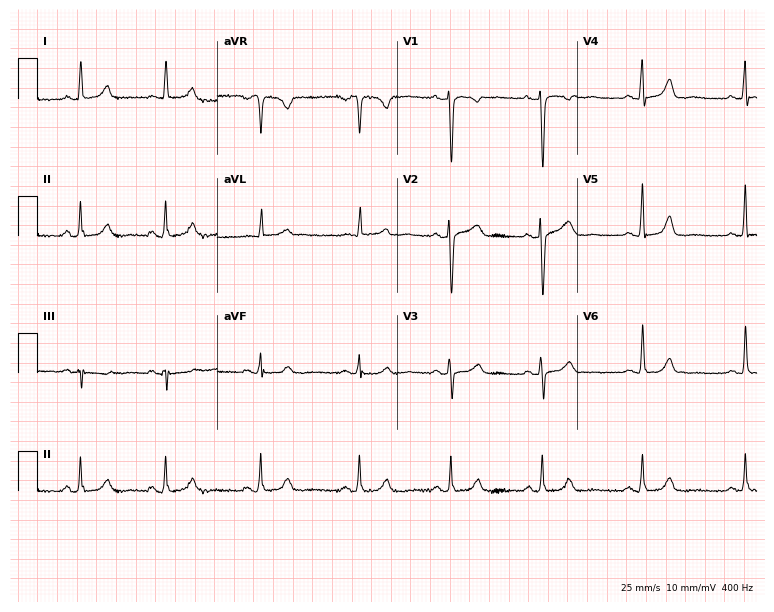
ECG — a female patient, 49 years old. Screened for six findings — first-degree AV block, right bundle branch block, left bundle branch block, sinus bradycardia, atrial fibrillation, sinus tachycardia — none is recorded. Findings outside these six are not listed.